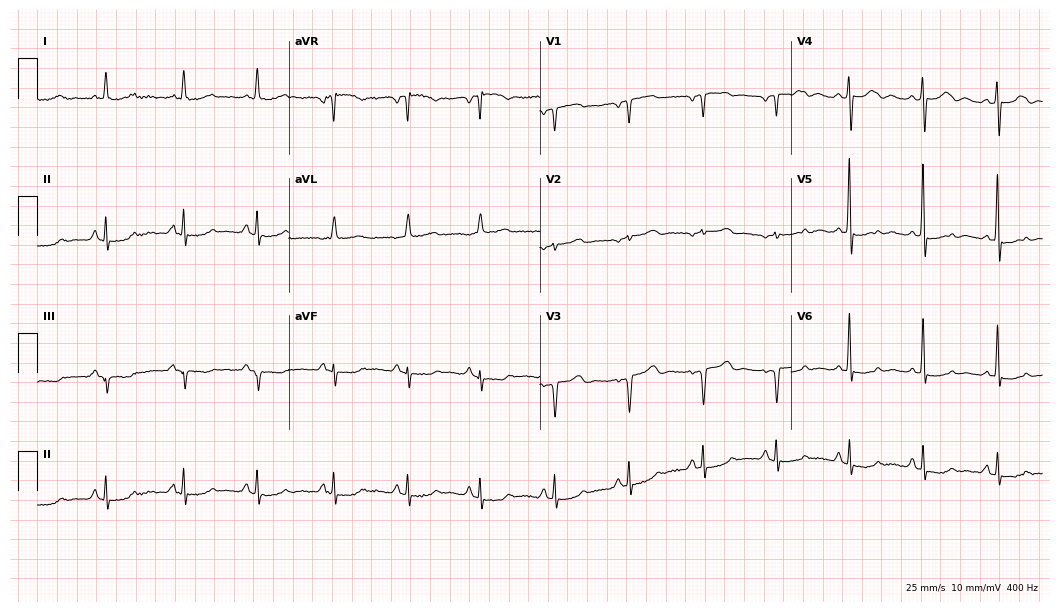
Resting 12-lead electrocardiogram (10.2-second recording at 400 Hz). Patient: a woman, 76 years old. None of these six findings is recorded: first-degree AV block, right bundle branch block, left bundle branch block, sinus bradycardia, atrial fibrillation, sinus tachycardia.